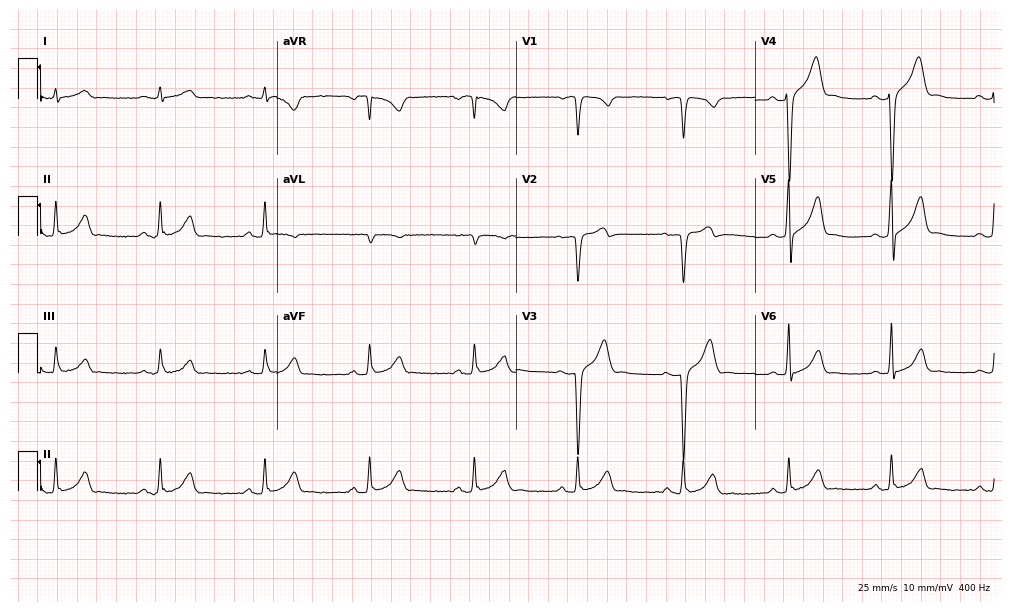
12-lead ECG from a man, 28 years old (9.8-second recording at 400 Hz). Recorded interpretation: within normal limits.